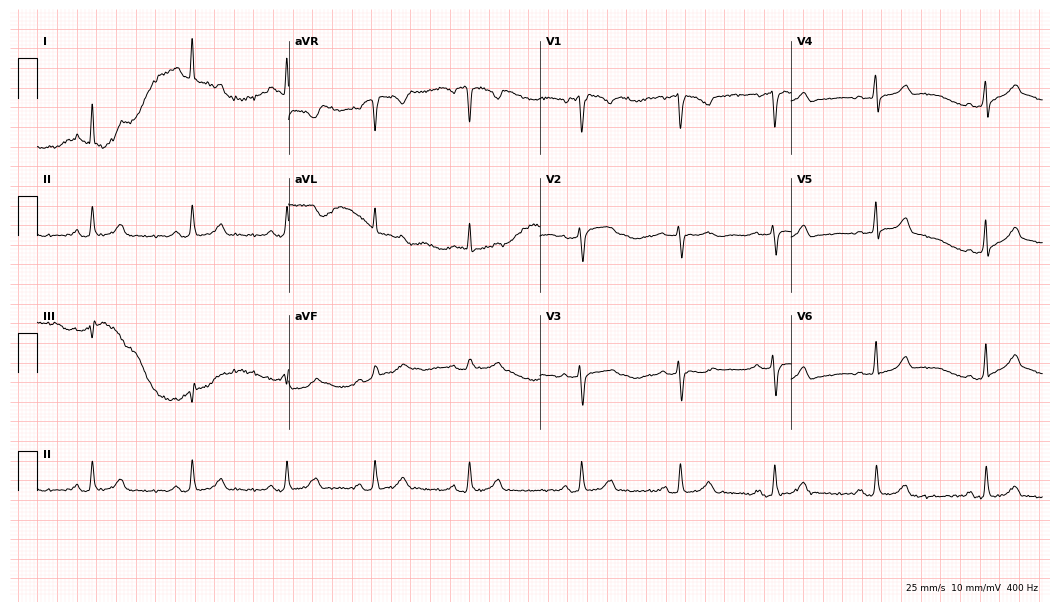
Standard 12-lead ECG recorded from a 33-year-old woman. Read as a normal ECG.